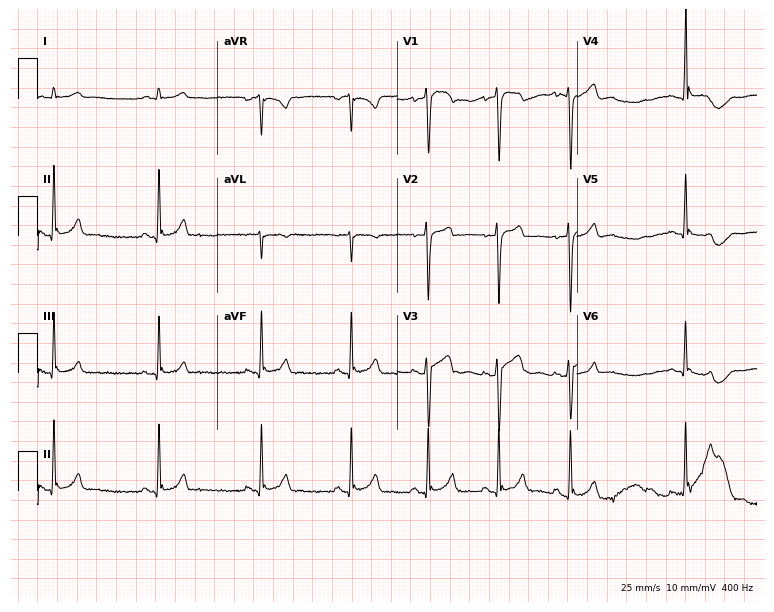
12-lead ECG from a 22-year-old male patient (7.3-second recording at 400 Hz). Recorded interpretation: within normal limits.